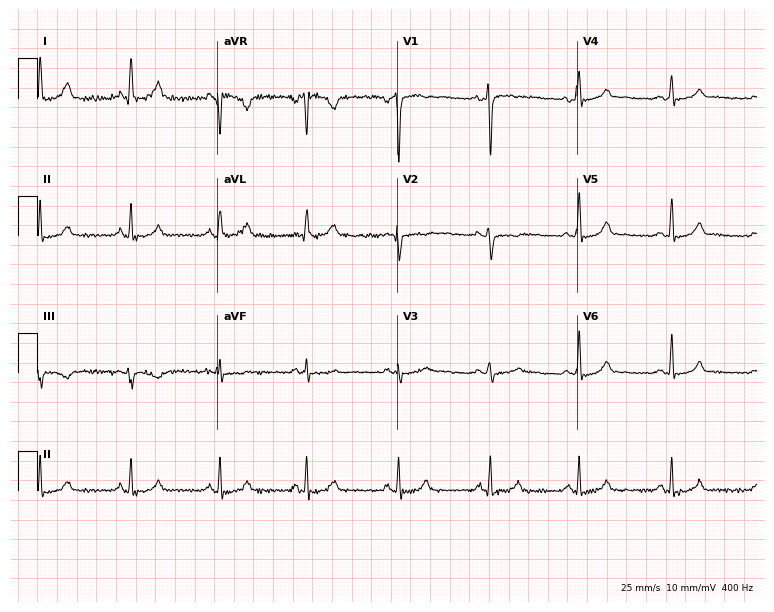
Resting 12-lead electrocardiogram. Patient: a female, 27 years old. None of these six findings is recorded: first-degree AV block, right bundle branch block, left bundle branch block, sinus bradycardia, atrial fibrillation, sinus tachycardia. Findings outside these six are not listed.